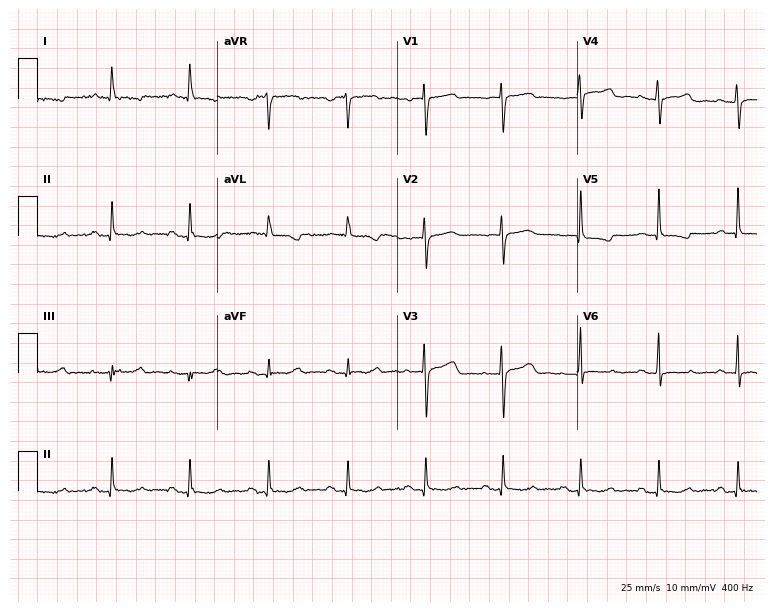
Standard 12-lead ECG recorded from a 64-year-old female patient (7.3-second recording at 400 Hz). None of these six findings is recorded: first-degree AV block, right bundle branch block, left bundle branch block, sinus bradycardia, atrial fibrillation, sinus tachycardia. Findings outside these six are not listed.